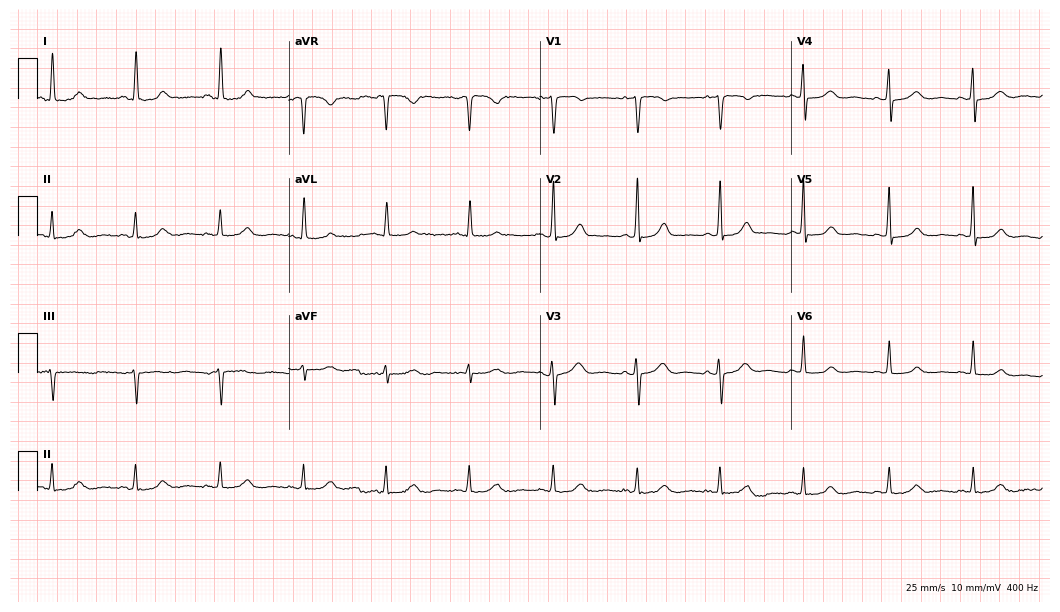
ECG (10.2-second recording at 400 Hz) — a 63-year-old woman. Labelled as a normal ECG.